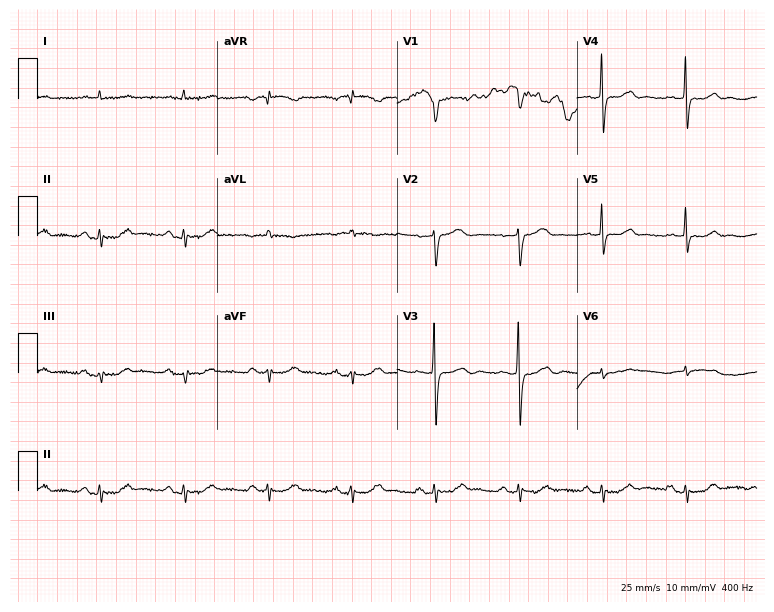
ECG — a male patient, 77 years old. Screened for six findings — first-degree AV block, right bundle branch block, left bundle branch block, sinus bradycardia, atrial fibrillation, sinus tachycardia — none is recorded.